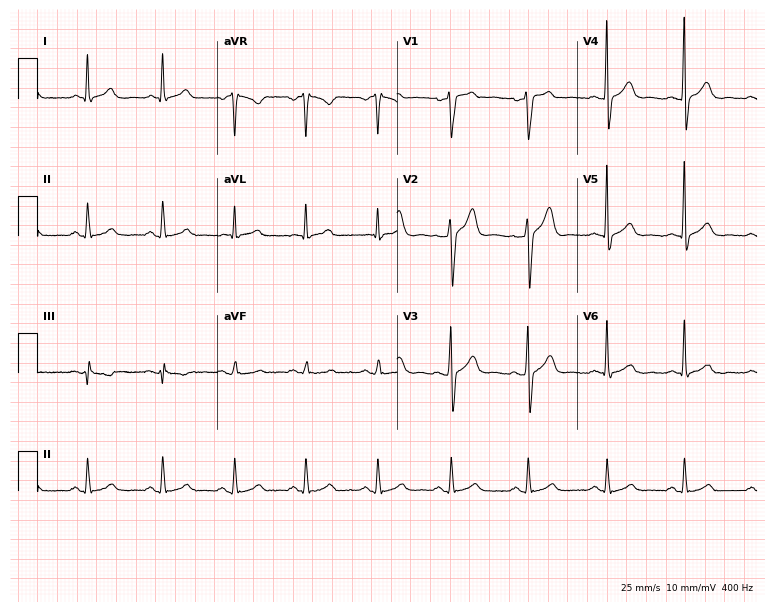
ECG (7.3-second recording at 400 Hz) — a man, 45 years old. Labelled as a normal ECG.